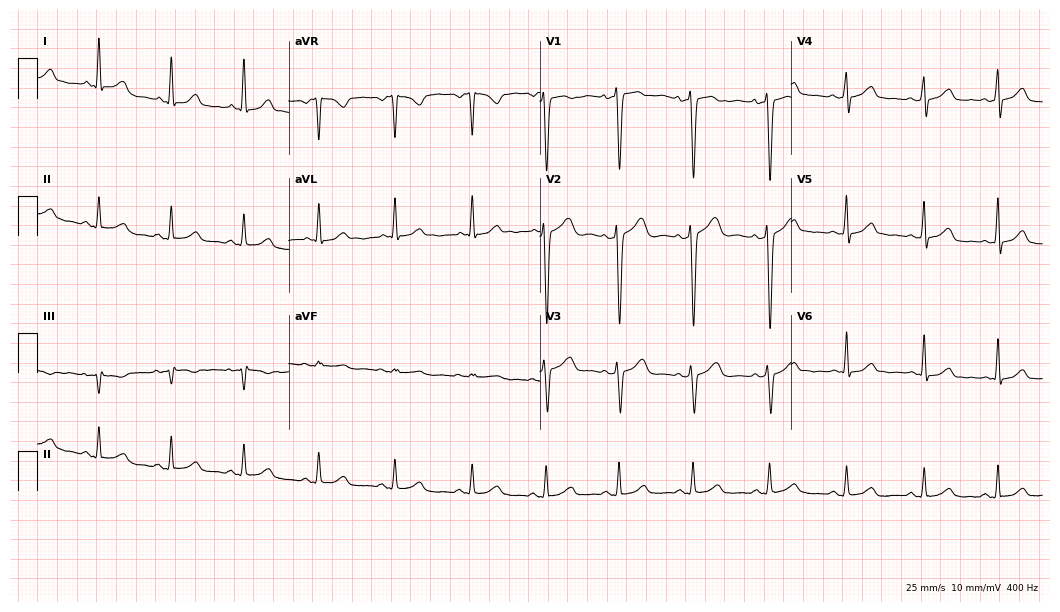
12-lead ECG from a 42-year-old female patient. Labelled as a normal ECG.